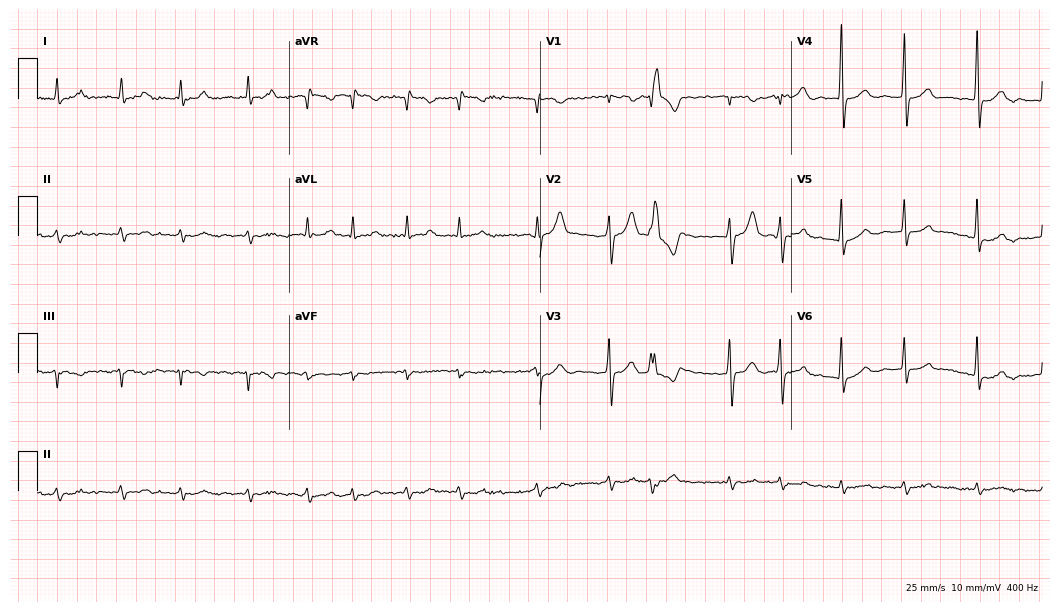
12-lead ECG from an 87-year-old man. Findings include atrial fibrillation.